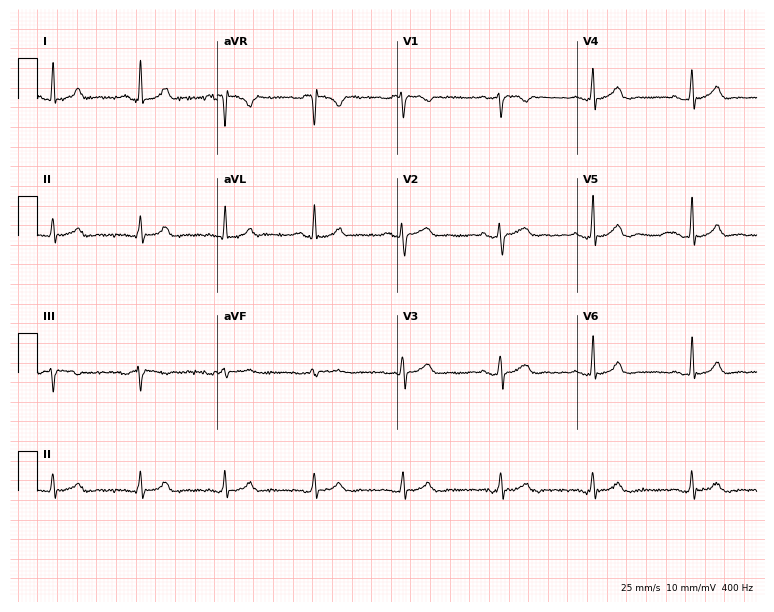
Electrocardiogram, a female patient, 24 years old. Overall reading on record: normal ECG.